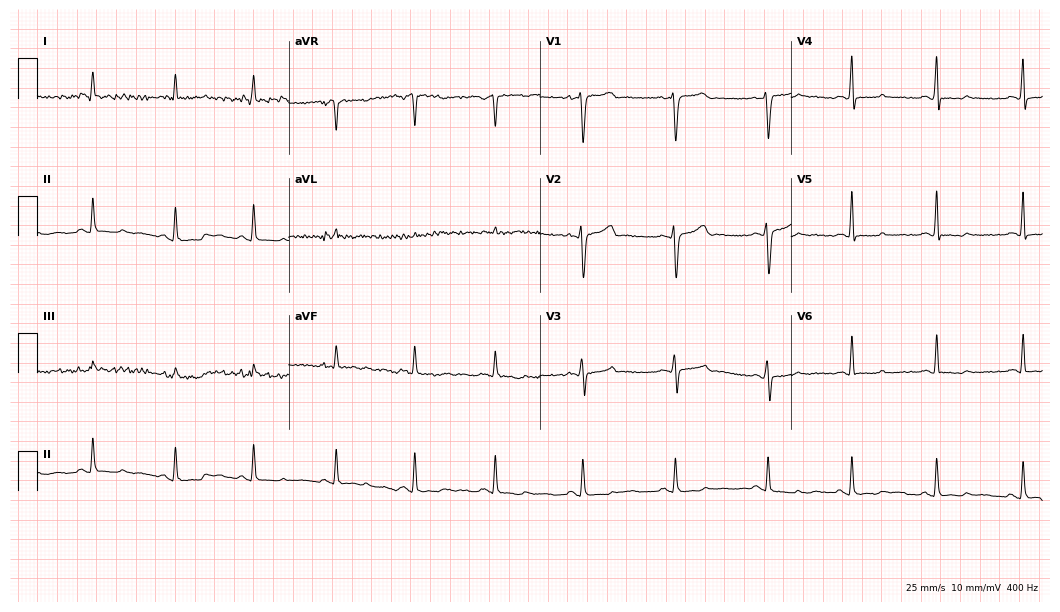
12-lead ECG (10.2-second recording at 400 Hz) from a 45-year-old female. Screened for six findings — first-degree AV block, right bundle branch block (RBBB), left bundle branch block (LBBB), sinus bradycardia, atrial fibrillation (AF), sinus tachycardia — none is recorded.